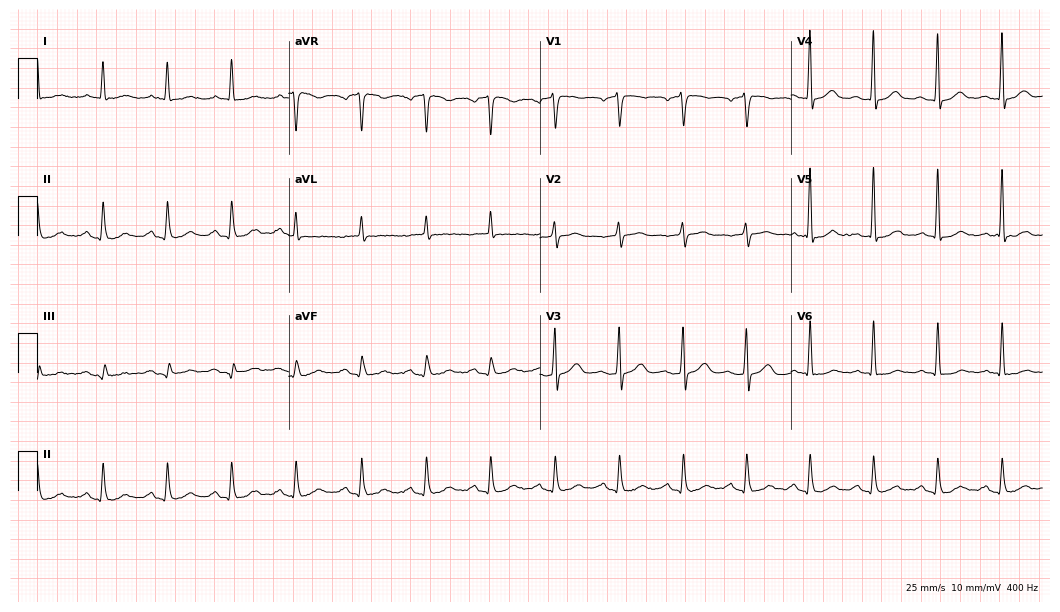
12-lead ECG (10.2-second recording at 400 Hz) from a male patient, 72 years old. Labelled as a normal ECG.